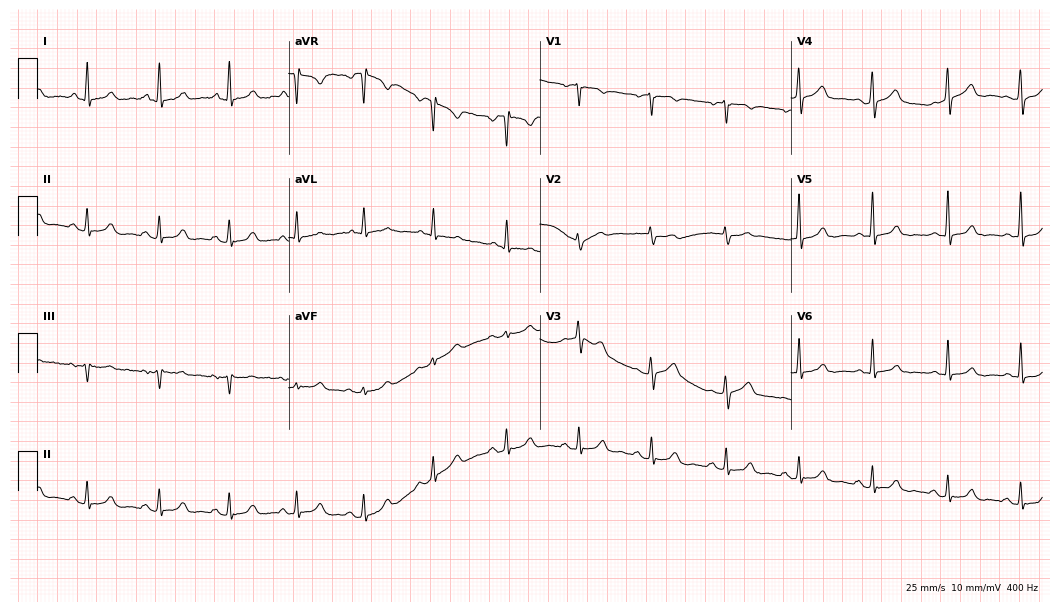
Standard 12-lead ECG recorded from a female, 48 years old (10.2-second recording at 400 Hz). Read as a normal ECG.